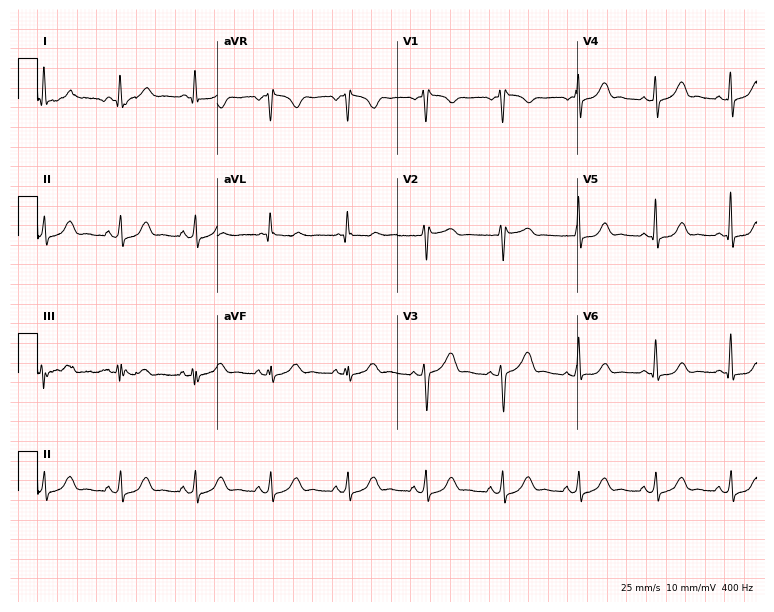
Electrocardiogram, a woman, 22 years old. Overall reading on record: normal ECG.